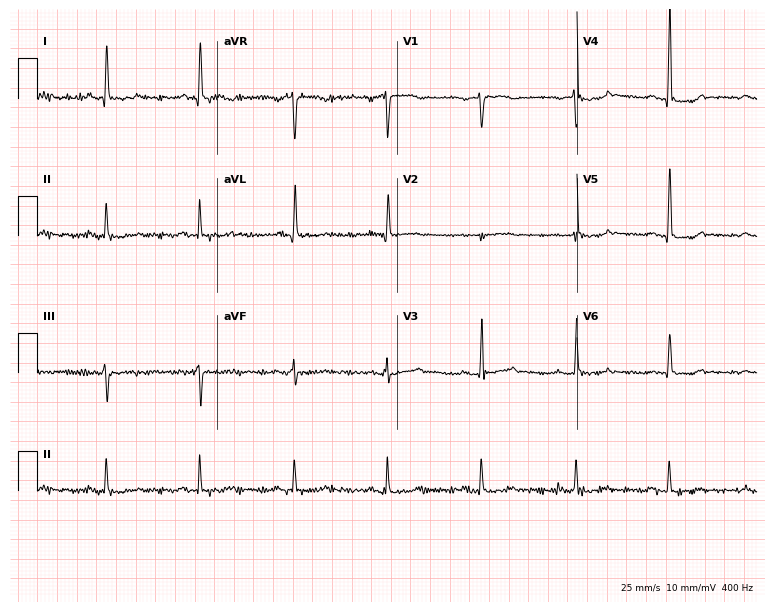
12-lead ECG (7.3-second recording at 400 Hz) from a female, 57 years old. Screened for six findings — first-degree AV block, right bundle branch block, left bundle branch block, sinus bradycardia, atrial fibrillation, sinus tachycardia — none is recorded.